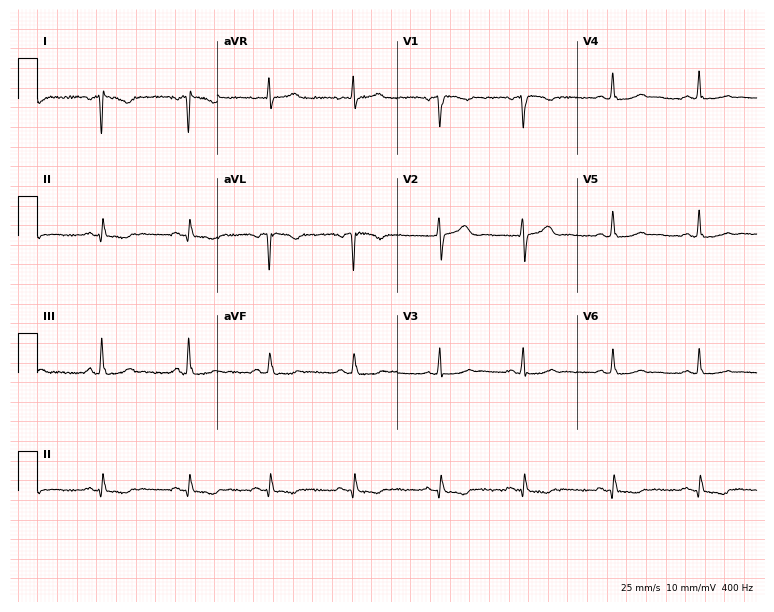
ECG — a 34-year-old woman. Screened for six findings — first-degree AV block, right bundle branch block, left bundle branch block, sinus bradycardia, atrial fibrillation, sinus tachycardia — none is recorded.